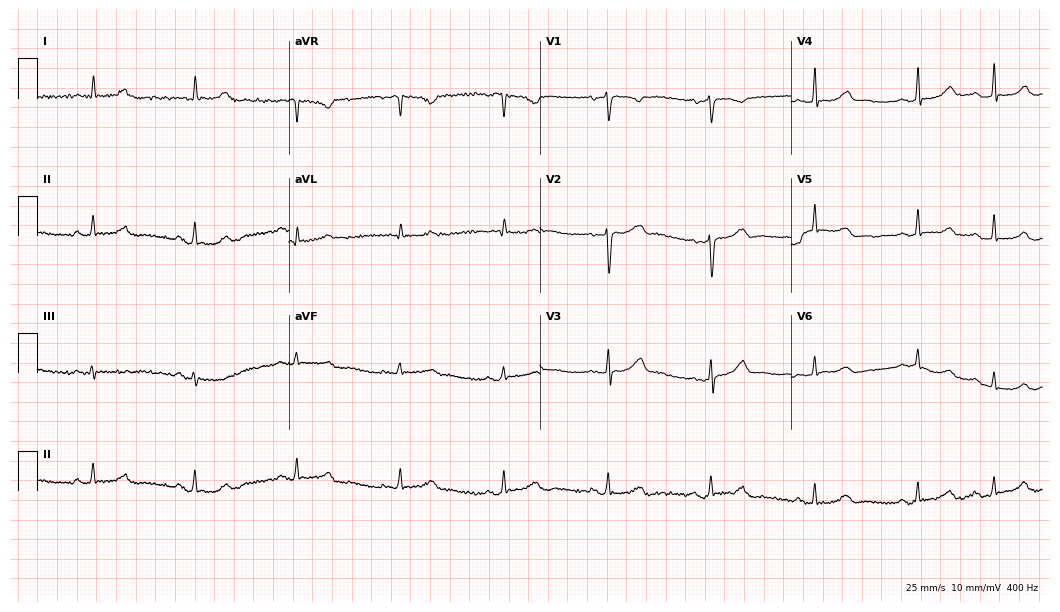
12-lead ECG from a female, 74 years old. Labelled as a normal ECG.